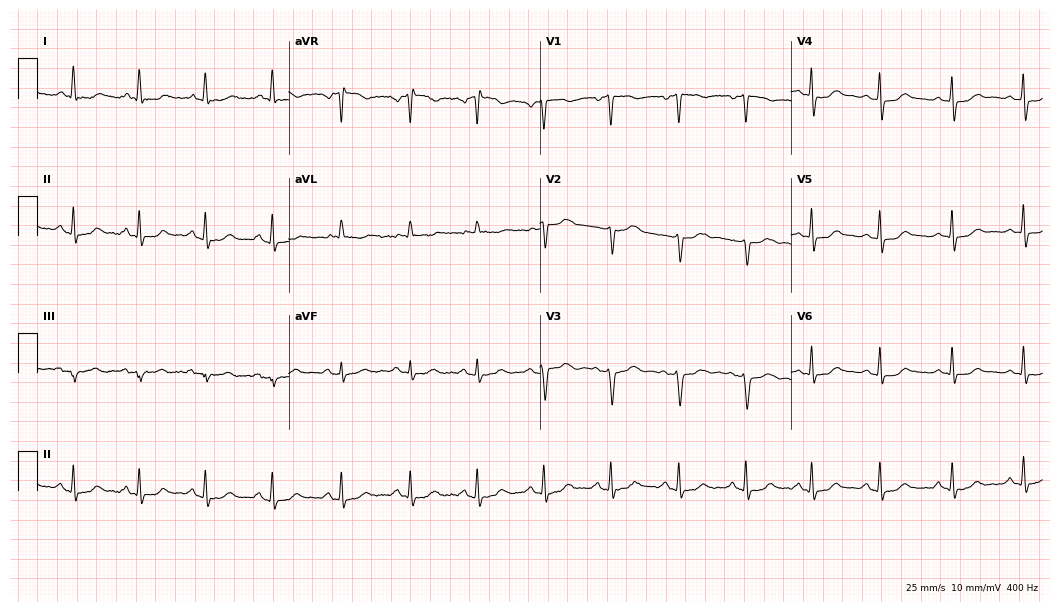
12-lead ECG from a woman, 53 years old (10.2-second recording at 400 Hz). No first-degree AV block, right bundle branch block (RBBB), left bundle branch block (LBBB), sinus bradycardia, atrial fibrillation (AF) or sinus tachycardia recorded for this tracing. Other findings, if any, are not listed.